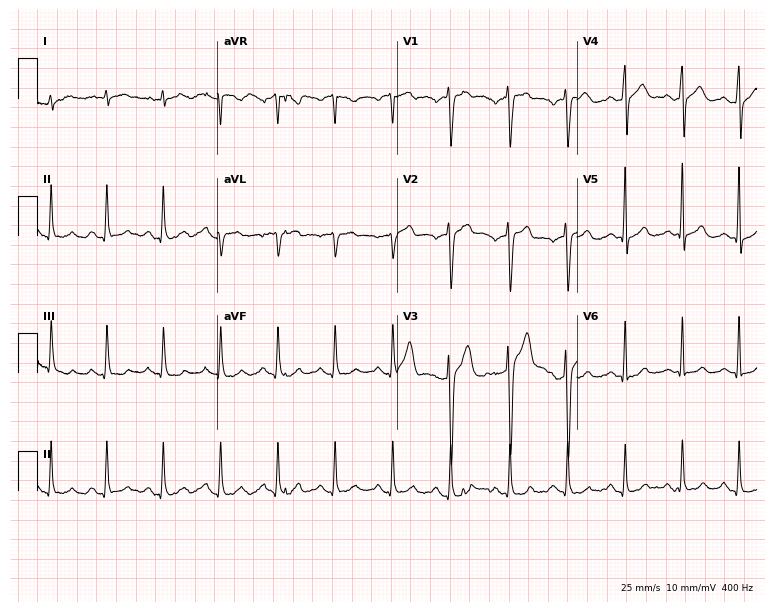
Resting 12-lead electrocardiogram. Patient: a 34-year-old male. None of these six findings is recorded: first-degree AV block, right bundle branch block, left bundle branch block, sinus bradycardia, atrial fibrillation, sinus tachycardia.